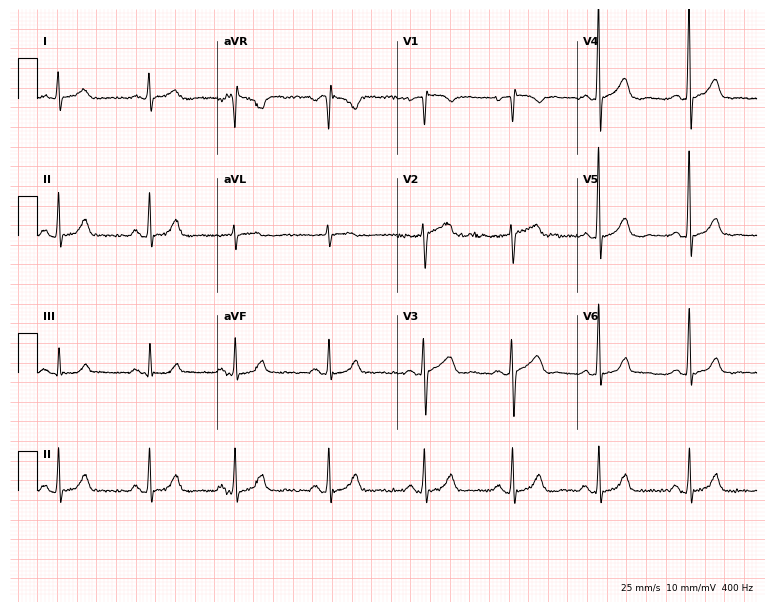
Standard 12-lead ECG recorded from a 55-year-old female patient (7.3-second recording at 400 Hz). None of these six findings is recorded: first-degree AV block, right bundle branch block (RBBB), left bundle branch block (LBBB), sinus bradycardia, atrial fibrillation (AF), sinus tachycardia. Other findings, if any, are not listed.